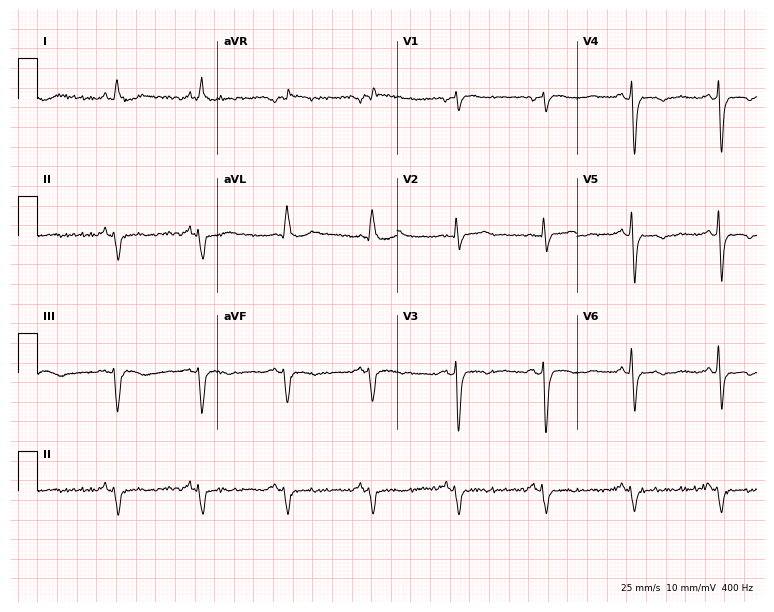
Standard 12-lead ECG recorded from a man, 65 years old (7.3-second recording at 400 Hz). None of these six findings is recorded: first-degree AV block, right bundle branch block, left bundle branch block, sinus bradycardia, atrial fibrillation, sinus tachycardia.